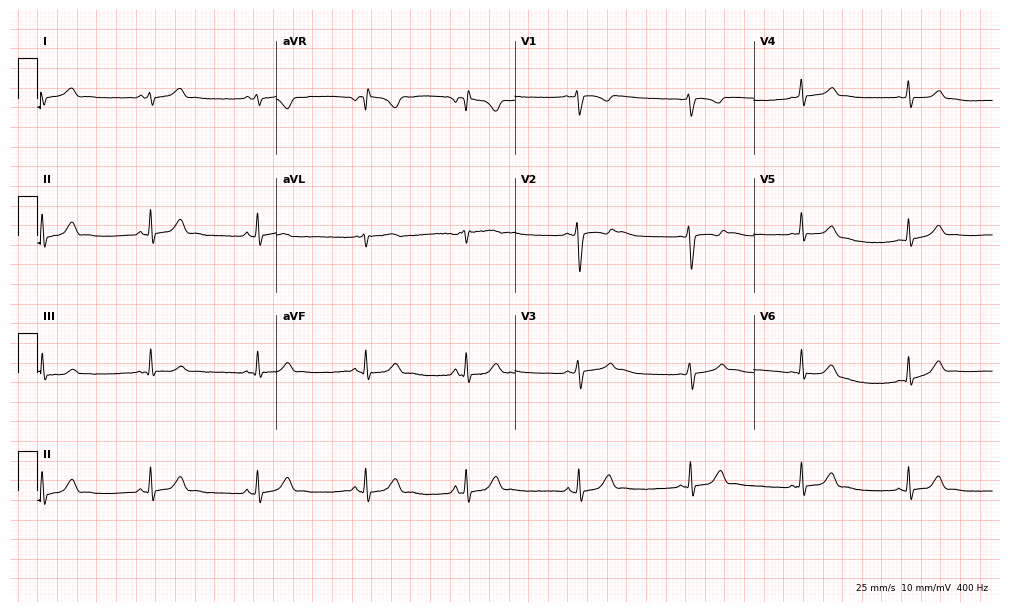
12-lead ECG (9.7-second recording at 400 Hz) from an 18-year-old female patient. Labelled as a normal ECG.